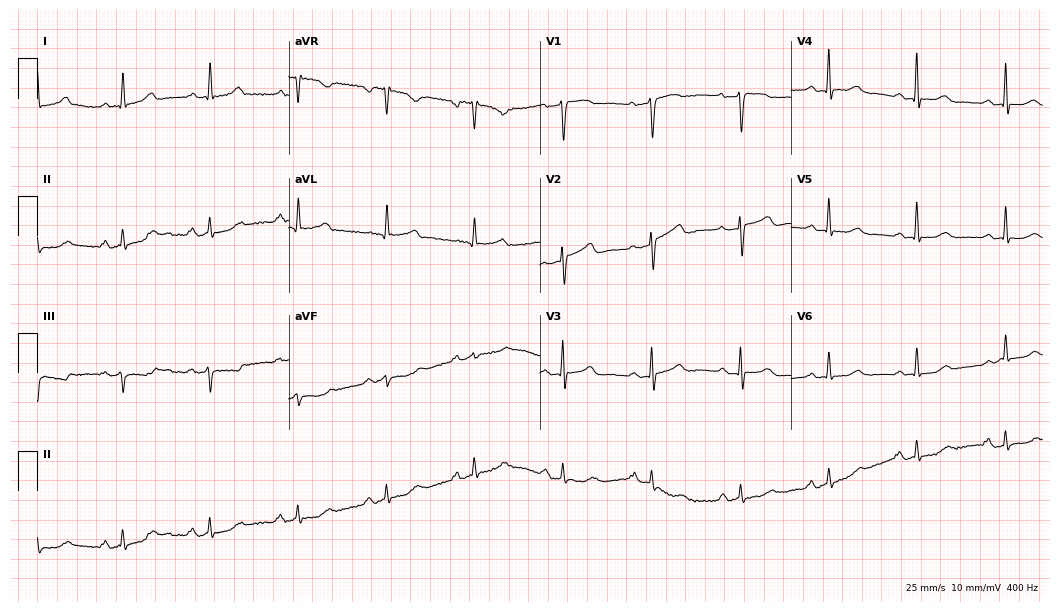
12-lead ECG from a 73-year-old female. No first-degree AV block, right bundle branch block, left bundle branch block, sinus bradycardia, atrial fibrillation or sinus tachycardia recorded for this tracing.